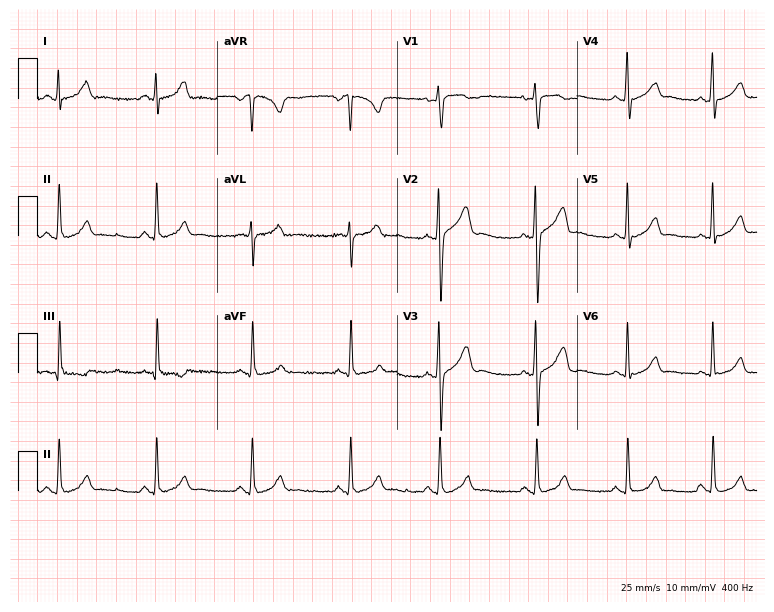
ECG (7.3-second recording at 400 Hz) — a woman, 22 years old. Labelled as a normal ECG.